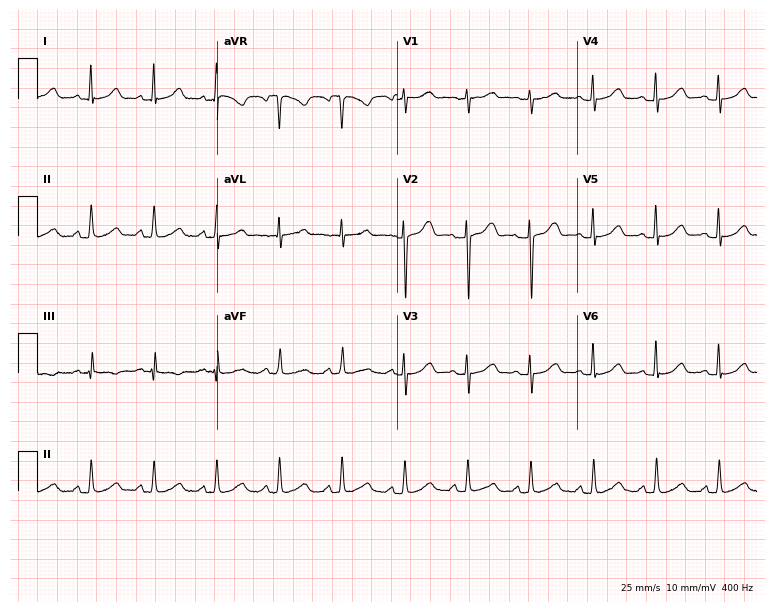
Resting 12-lead electrocardiogram (7.3-second recording at 400 Hz). Patient: a 45-year-old woman. None of these six findings is recorded: first-degree AV block, right bundle branch block (RBBB), left bundle branch block (LBBB), sinus bradycardia, atrial fibrillation (AF), sinus tachycardia. Other findings, if any, are not listed.